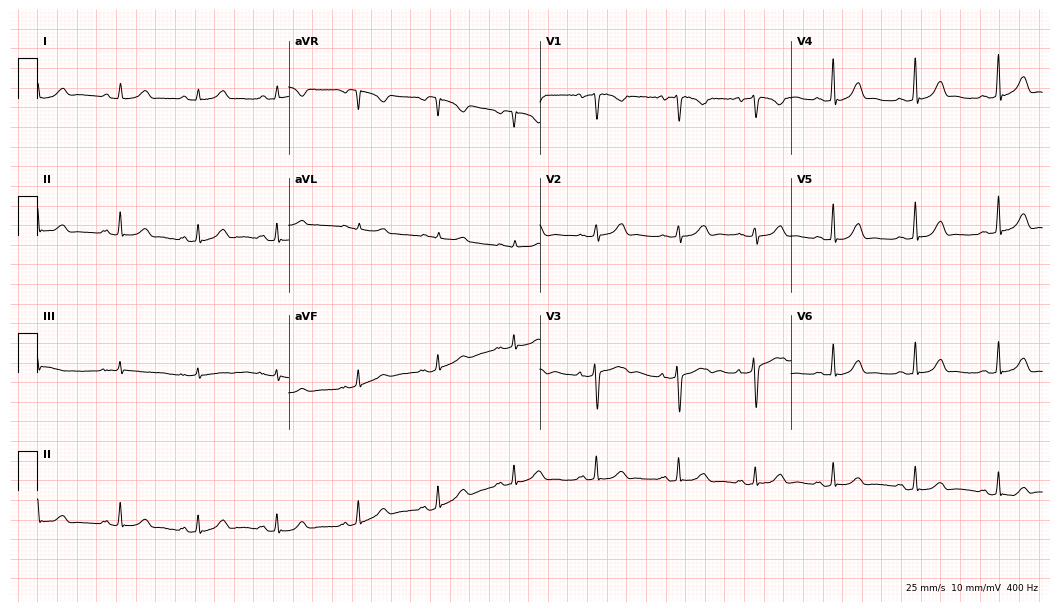
Resting 12-lead electrocardiogram (10.2-second recording at 400 Hz). Patient: a 23-year-old female. Read as a normal ECG.